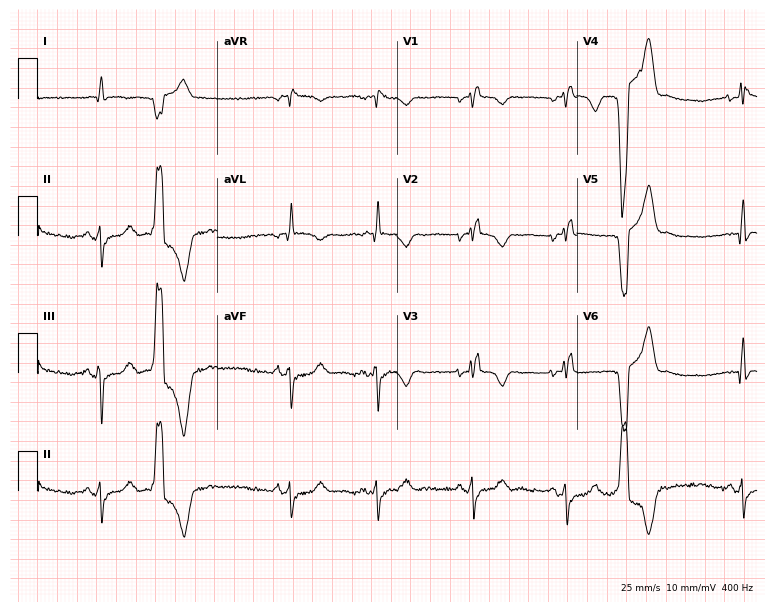
12-lead ECG from a 54-year-old female patient (7.3-second recording at 400 Hz). Shows right bundle branch block (RBBB).